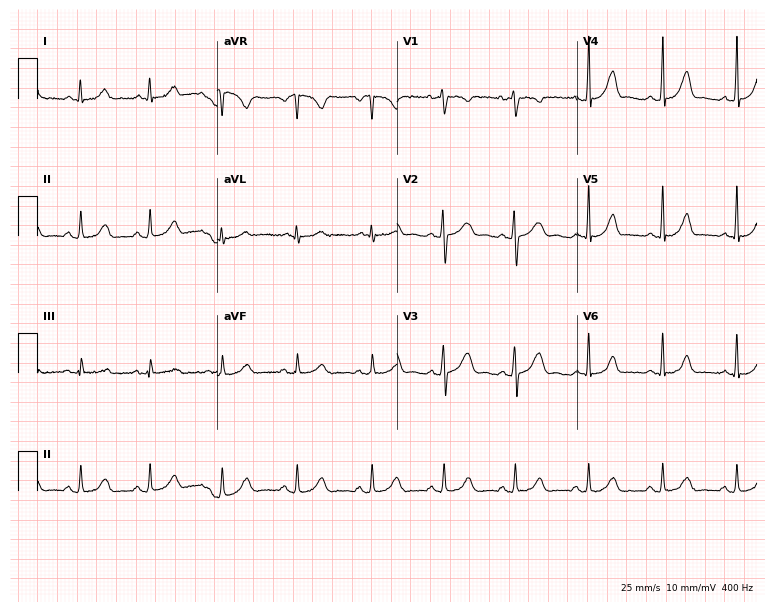
Resting 12-lead electrocardiogram. Patient: a female, 19 years old. Read as a normal ECG.